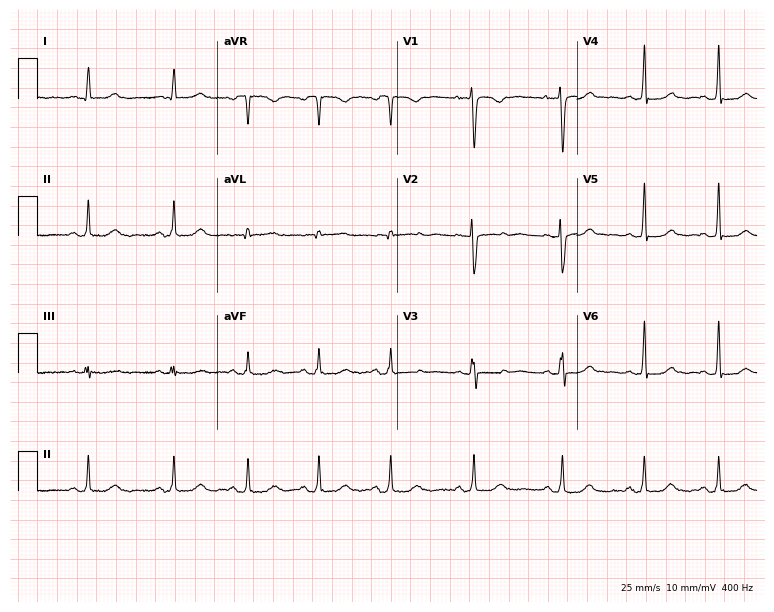
Resting 12-lead electrocardiogram (7.3-second recording at 400 Hz). Patient: a woman, 29 years old. Read as a normal ECG.